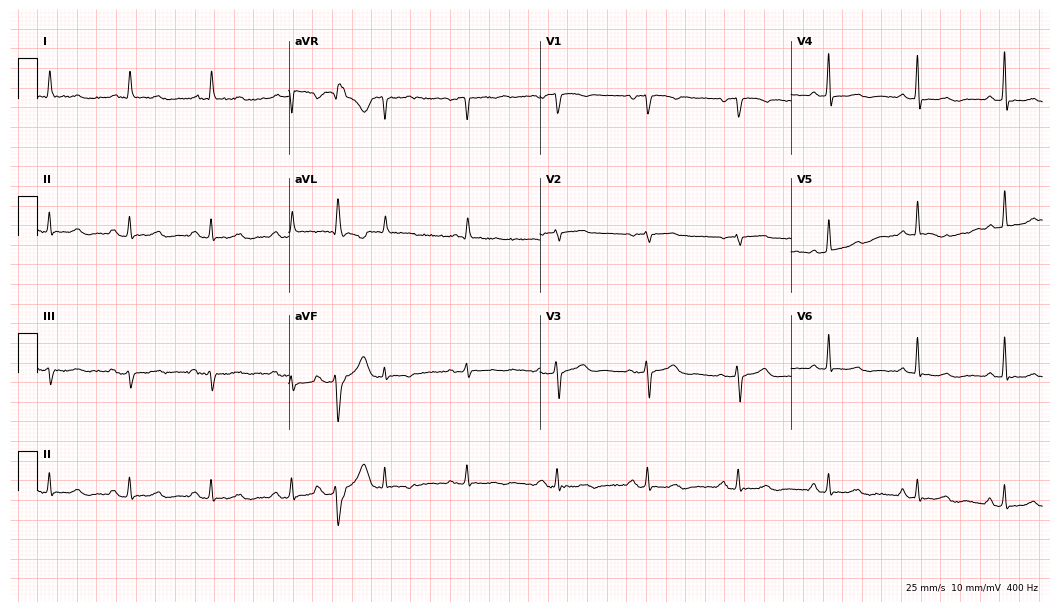
Resting 12-lead electrocardiogram (10.2-second recording at 400 Hz). Patient: an 85-year-old woman. None of these six findings is recorded: first-degree AV block, right bundle branch block (RBBB), left bundle branch block (LBBB), sinus bradycardia, atrial fibrillation (AF), sinus tachycardia.